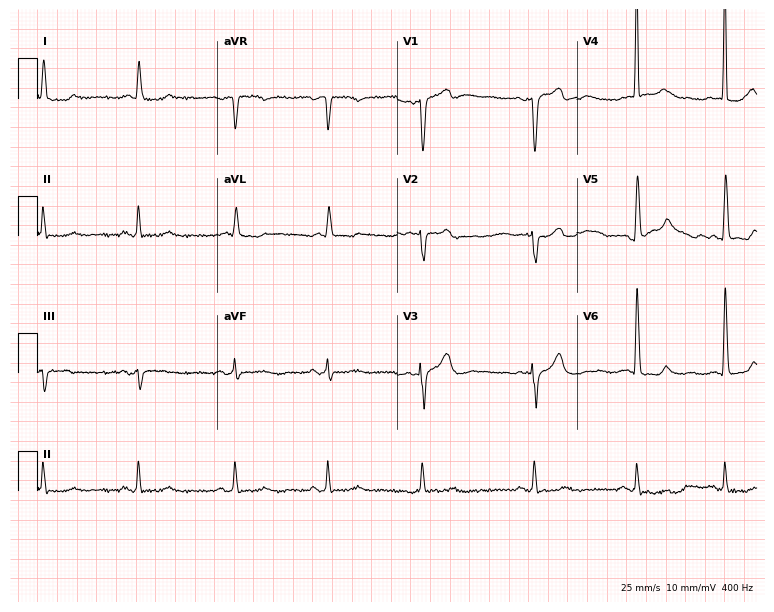
12-lead ECG from a man, 84 years old (7.3-second recording at 400 Hz). No first-degree AV block, right bundle branch block, left bundle branch block, sinus bradycardia, atrial fibrillation or sinus tachycardia recorded for this tracing.